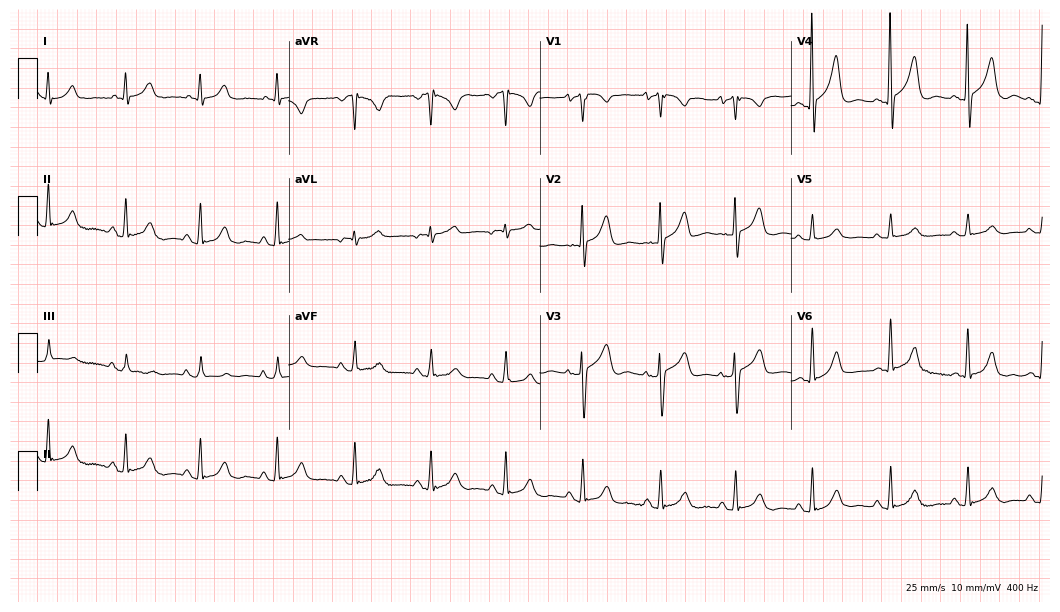
Standard 12-lead ECG recorded from a female patient, 79 years old. None of these six findings is recorded: first-degree AV block, right bundle branch block, left bundle branch block, sinus bradycardia, atrial fibrillation, sinus tachycardia. Other findings, if any, are not listed.